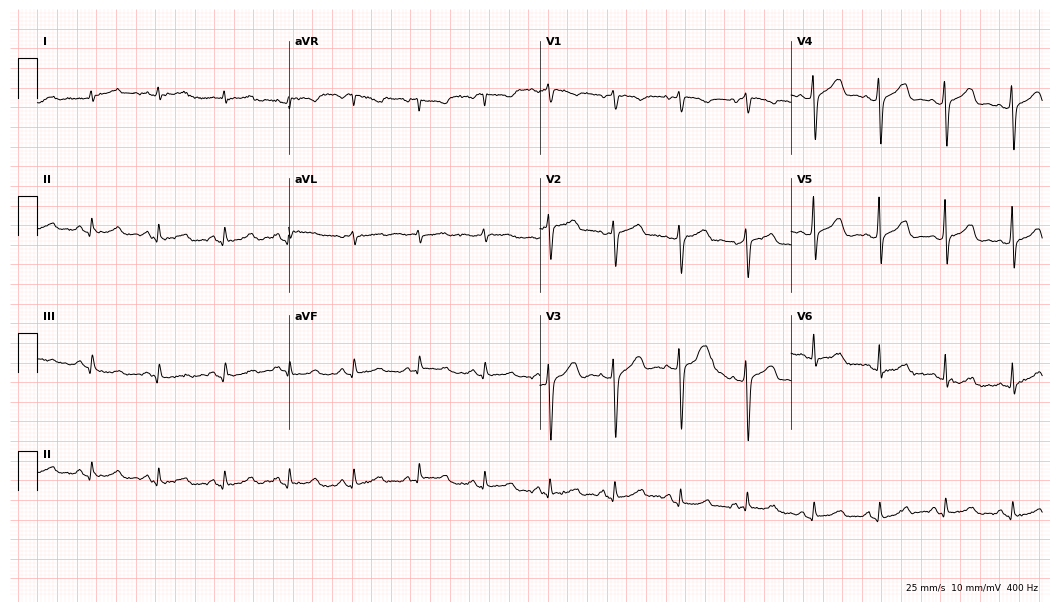
12-lead ECG from a 60-year-old female. Recorded interpretation: within normal limits.